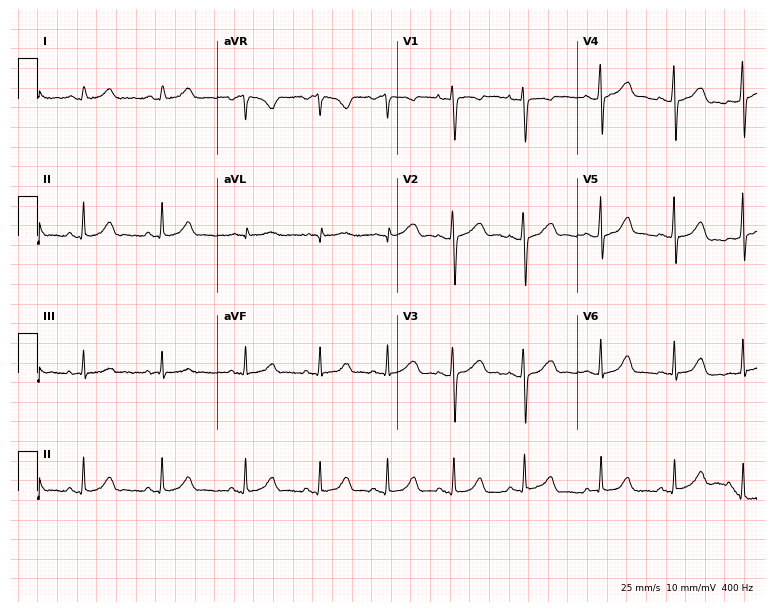
Electrocardiogram (7.3-second recording at 400 Hz), a female, 17 years old. Overall reading on record: normal ECG.